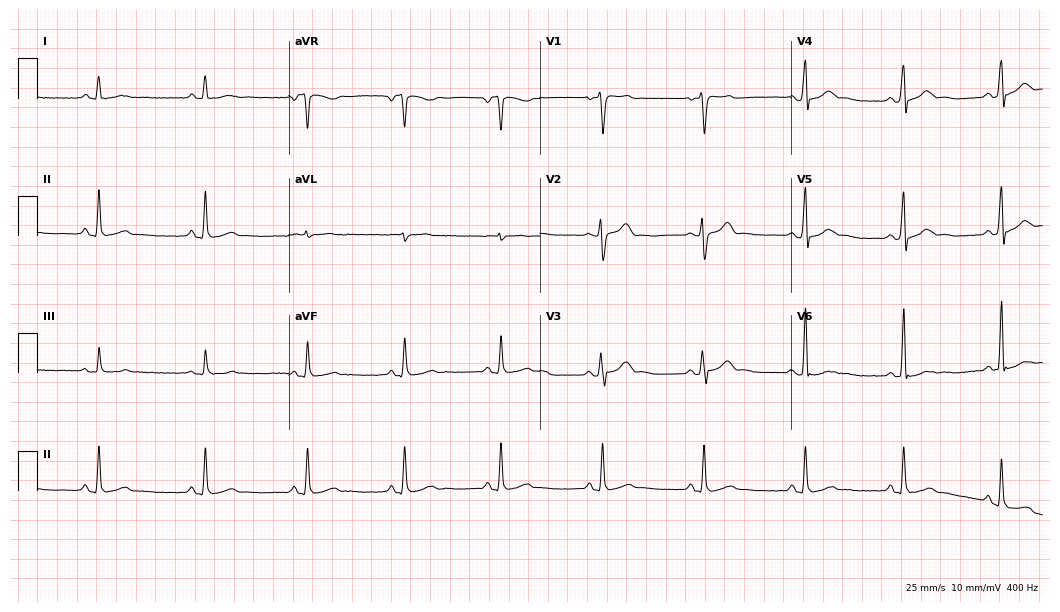
Standard 12-lead ECG recorded from a male, 37 years old. Read as a normal ECG.